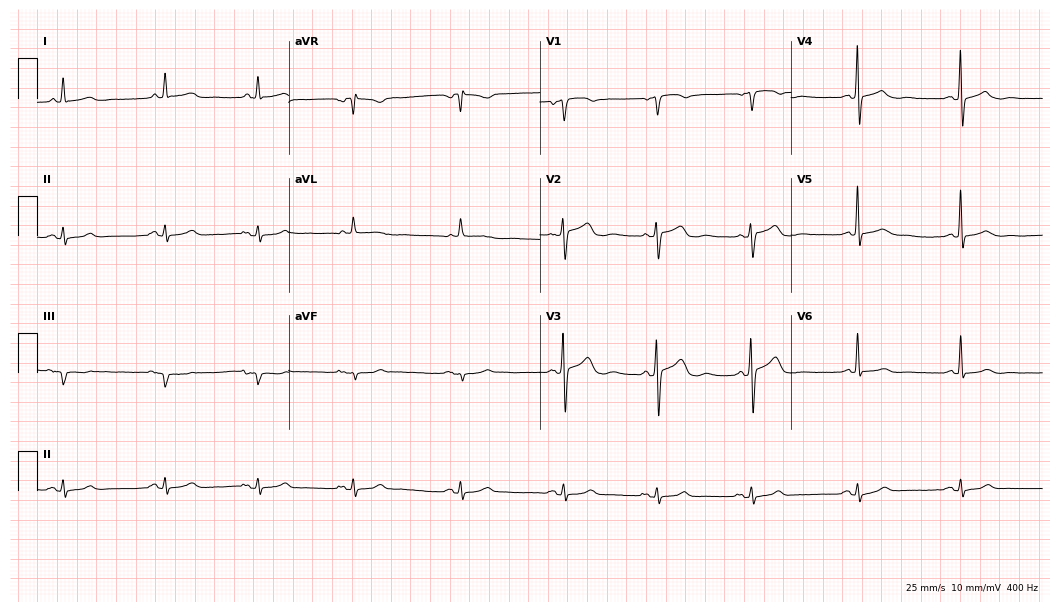
Electrocardiogram, a 68-year-old female patient. Overall reading on record: normal ECG.